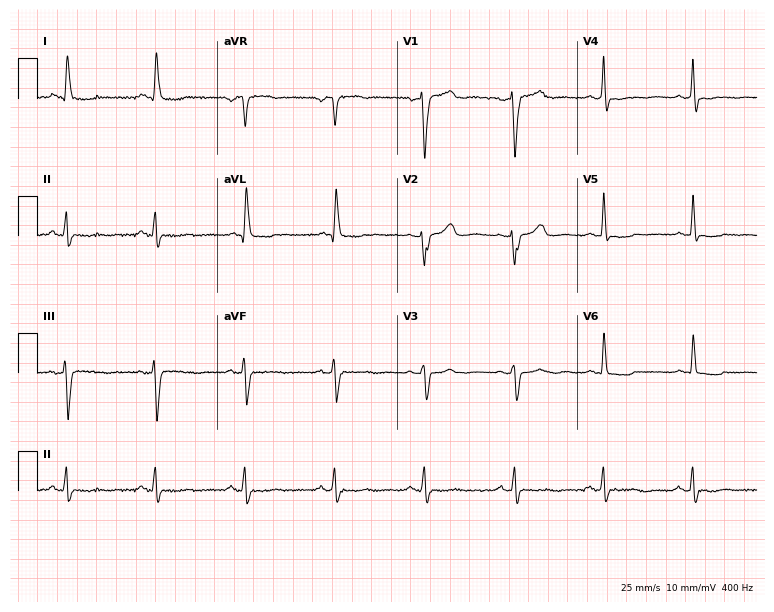
Electrocardiogram (7.3-second recording at 400 Hz), a 67-year-old female. Of the six screened findings (first-degree AV block, right bundle branch block (RBBB), left bundle branch block (LBBB), sinus bradycardia, atrial fibrillation (AF), sinus tachycardia), none is recorded. Only these six findings were labelled.